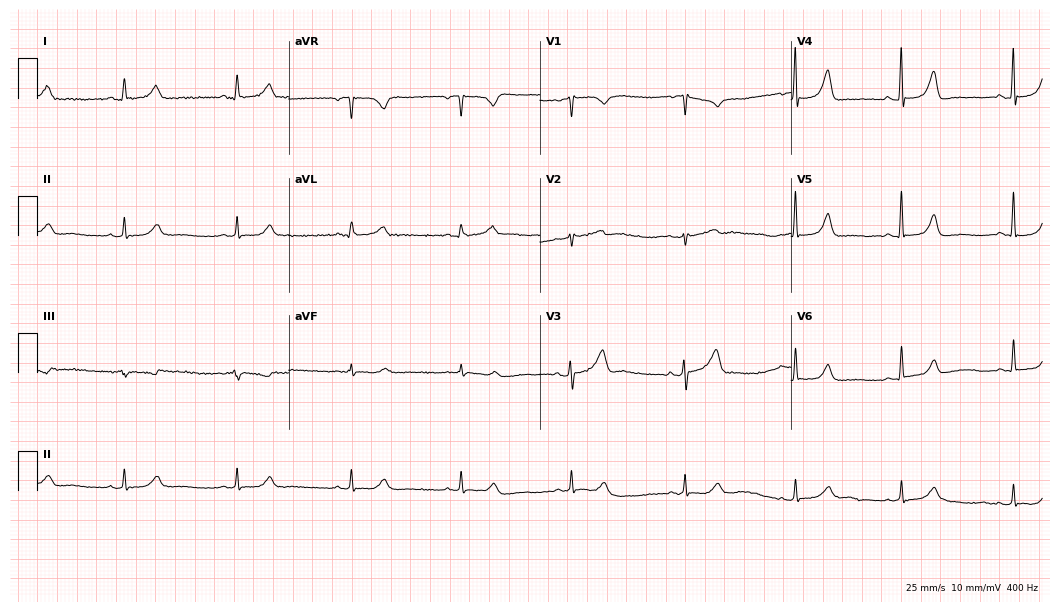
12-lead ECG (10.2-second recording at 400 Hz) from a female, 59 years old. Labelled as a normal ECG.